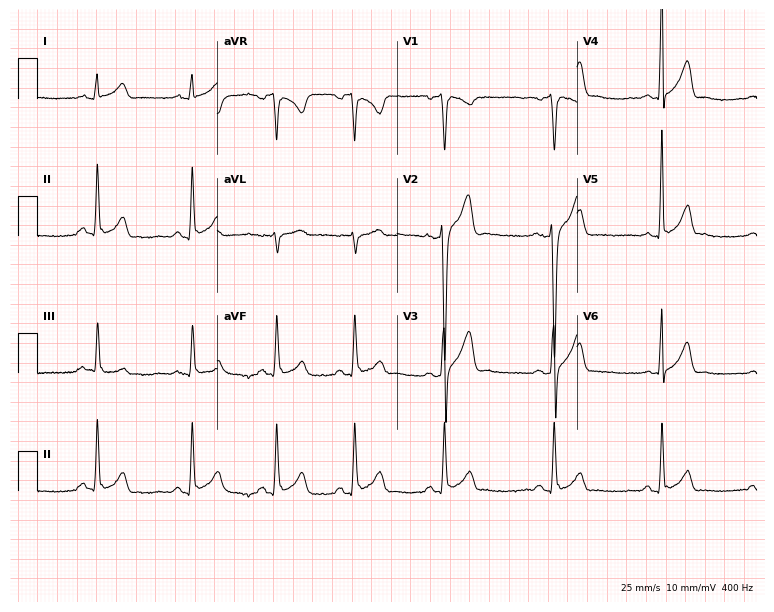
Resting 12-lead electrocardiogram (7.3-second recording at 400 Hz). Patient: a 30-year-old male. None of these six findings is recorded: first-degree AV block, right bundle branch block (RBBB), left bundle branch block (LBBB), sinus bradycardia, atrial fibrillation (AF), sinus tachycardia. Other findings, if any, are not listed.